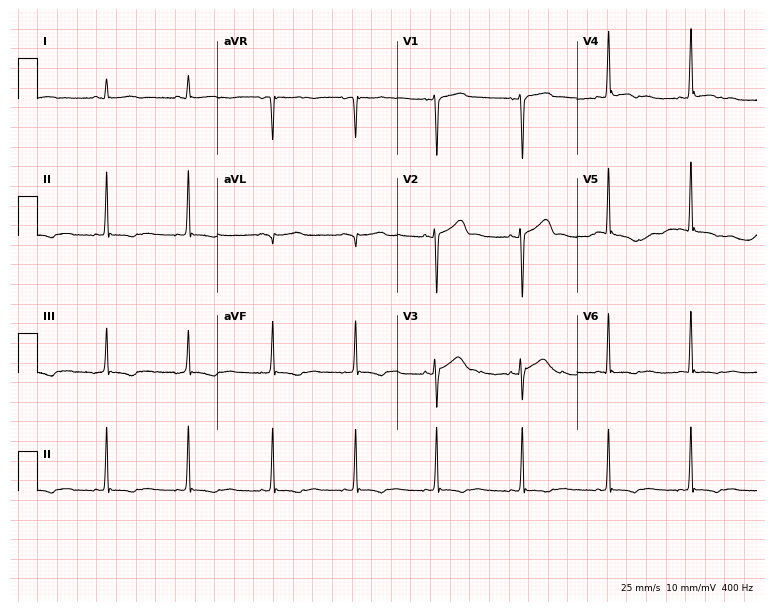
12-lead ECG from a woman, 33 years old. No first-degree AV block, right bundle branch block (RBBB), left bundle branch block (LBBB), sinus bradycardia, atrial fibrillation (AF) or sinus tachycardia recorded for this tracing.